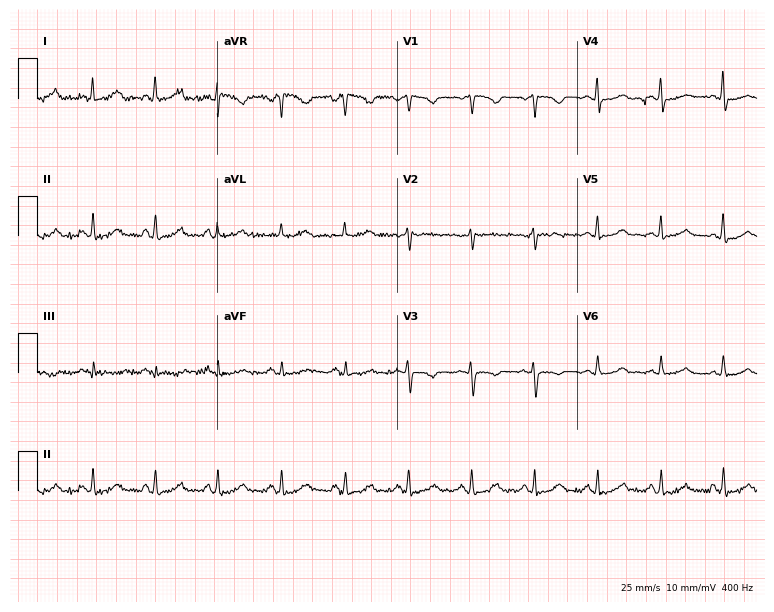
12-lead ECG from a female, 43 years old. No first-degree AV block, right bundle branch block, left bundle branch block, sinus bradycardia, atrial fibrillation or sinus tachycardia recorded for this tracing. Other findings, if any, are not listed.